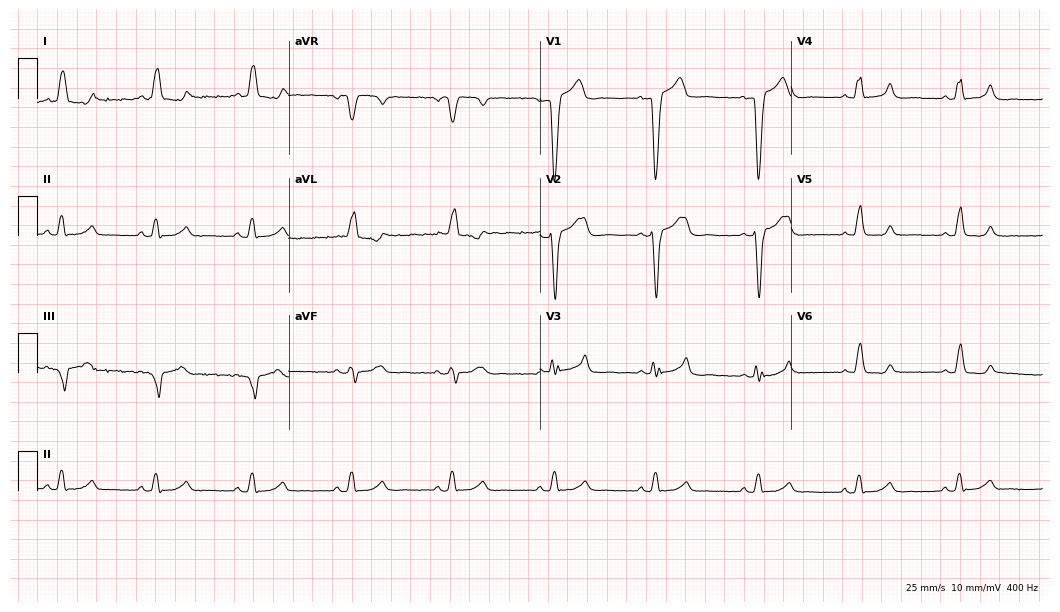
Electrocardiogram, a 73-year-old female. Interpretation includes left bundle branch block.